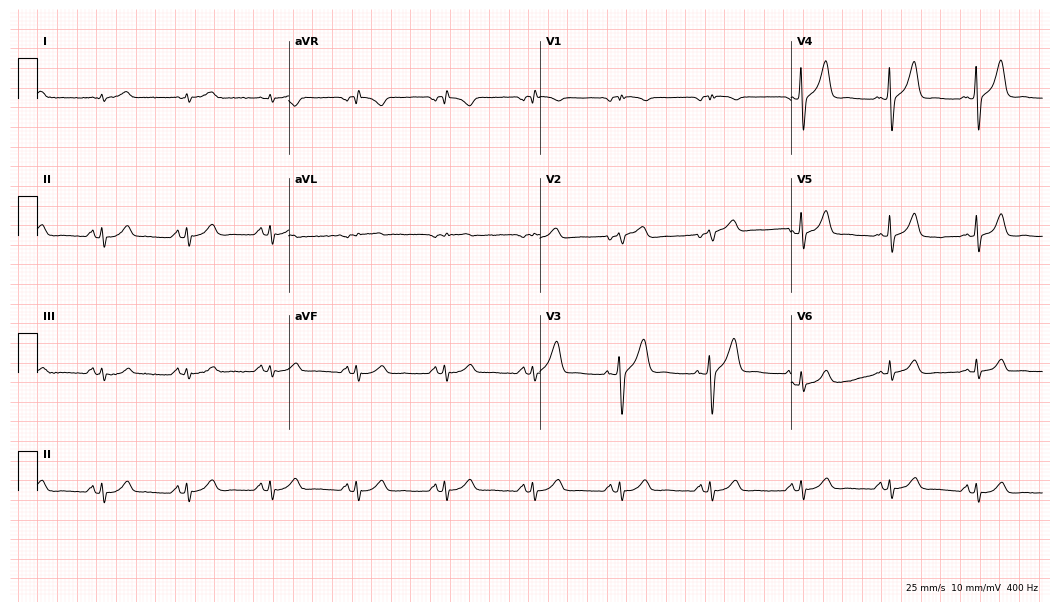
ECG (10.2-second recording at 400 Hz) — a 68-year-old male patient. Labelled as a normal ECG.